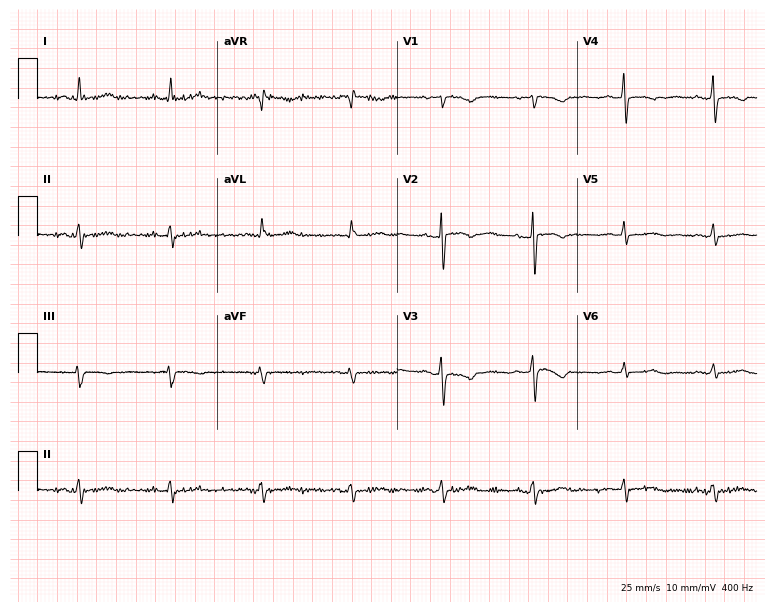
12-lead ECG from a woman, 35 years old. No first-degree AV block, right bundle branch block (RBBB), left bundle branch block (LBBB), sinus bradycardia, atrial fibrillation (AF) or sinus tachycardia recorded for this tracing. Only these six findings were labelled.